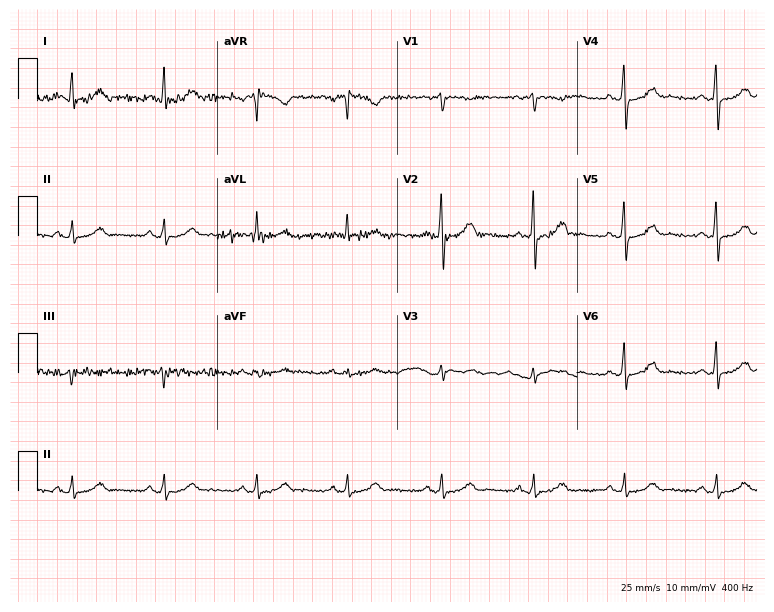
Electrocardiogram, a female, 53 years old. Of the six screened findings (first-degree AV block, right bundle branch block, left bundle branch block, sinus bradycardia, atrial fibrillation, sinus tachycardia), none is recorded. Only these six findings were labelled.